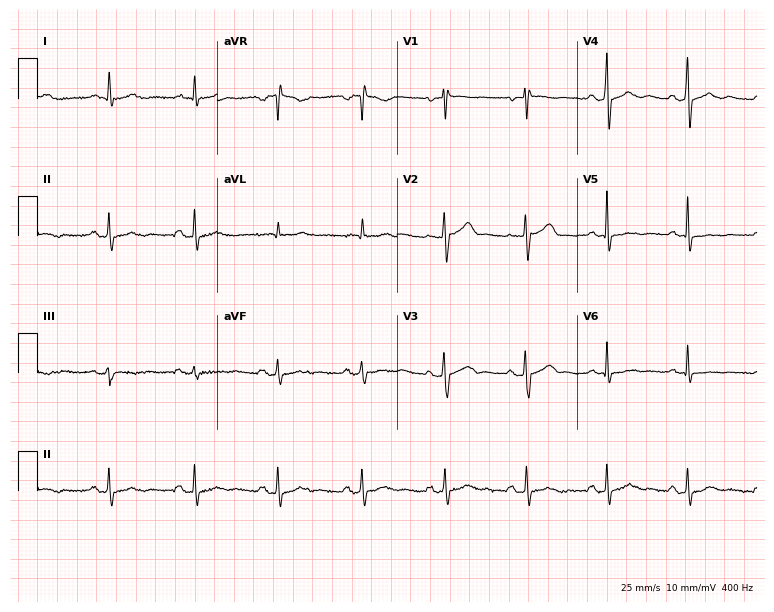
12-lead ECG from a male patient, 62 years old. Screened for six findings — first-degree AV block, right bundle branch block (RBBB), left bundle branch block (LBBB), sinus bradycardia, atrial fibrillation (AF), sinus tachycardia — none is recorded. Other findings, if any, are not listed.